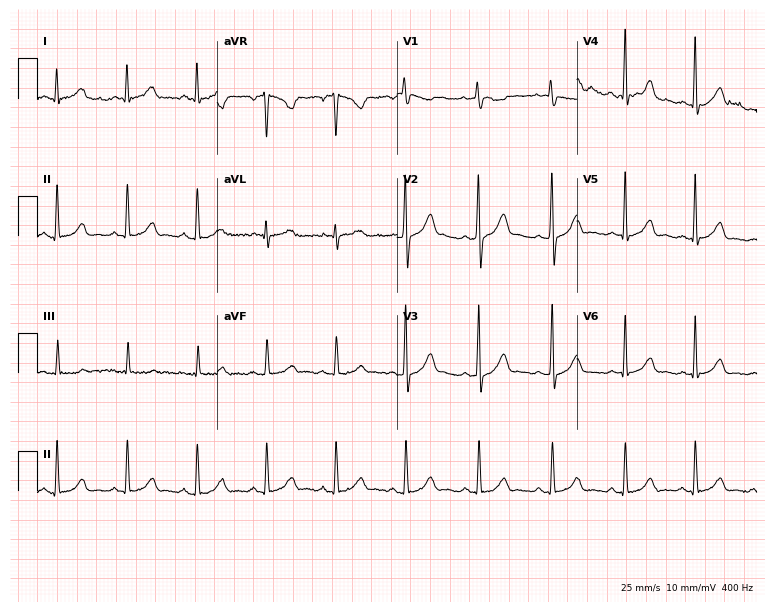
12-lead ECG from a female patient, 29 years old. No first-degree AV block, right bundle branch block (RBBB), left bundle branch block (LBBB), sinus bradycardia, atrial fibrillation (AF) or sinus tachycardia recorded for this tracing. Only these six findings were labelled.